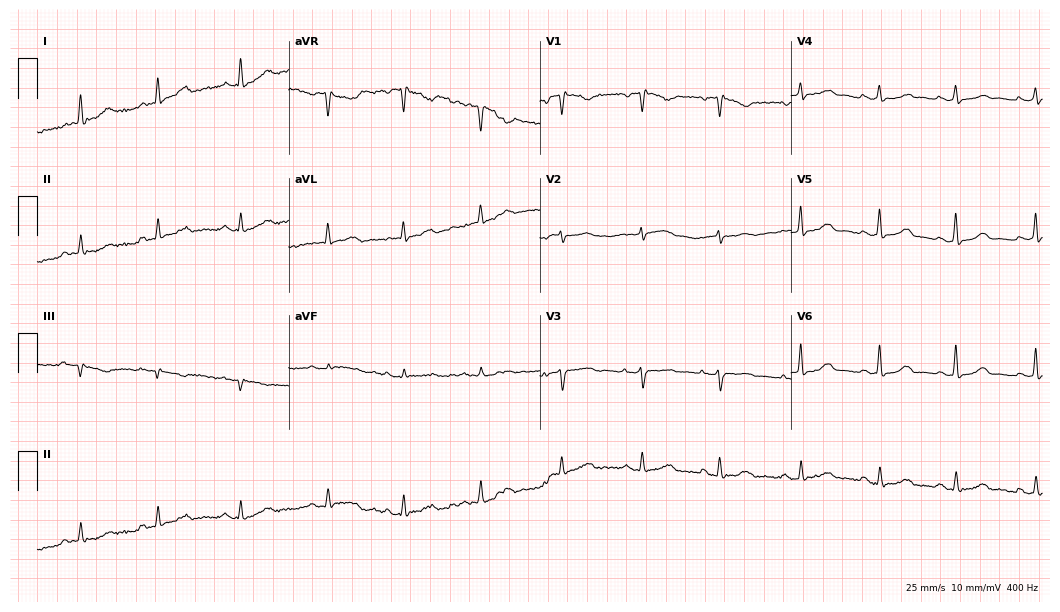
12-lead ECG from a woman, 50 years old (10.2-second recording at 400 Hz). Recorded interpretation: within normal limits.